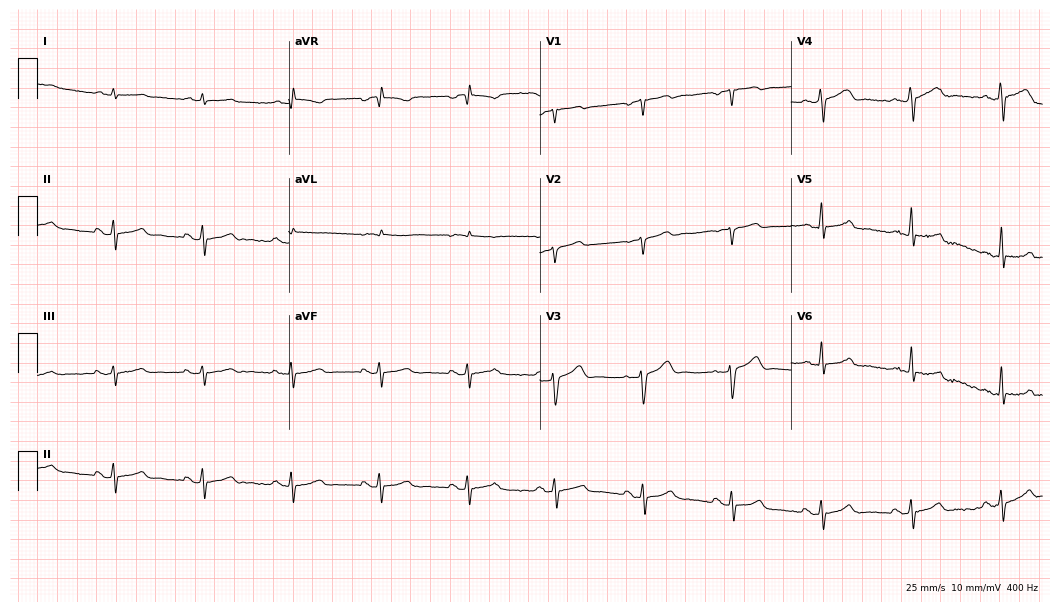
Electrocardiogram (10.2-second recording at 400 Hz), a male patient, 71 years old. Of the six screened findings (first-degree AV block, right bundle branch block, left bundle branch block, sinus bradycardia, atrial fibrillation, sinus tachycardia), none is recorded. Findings outside these six are not listed.